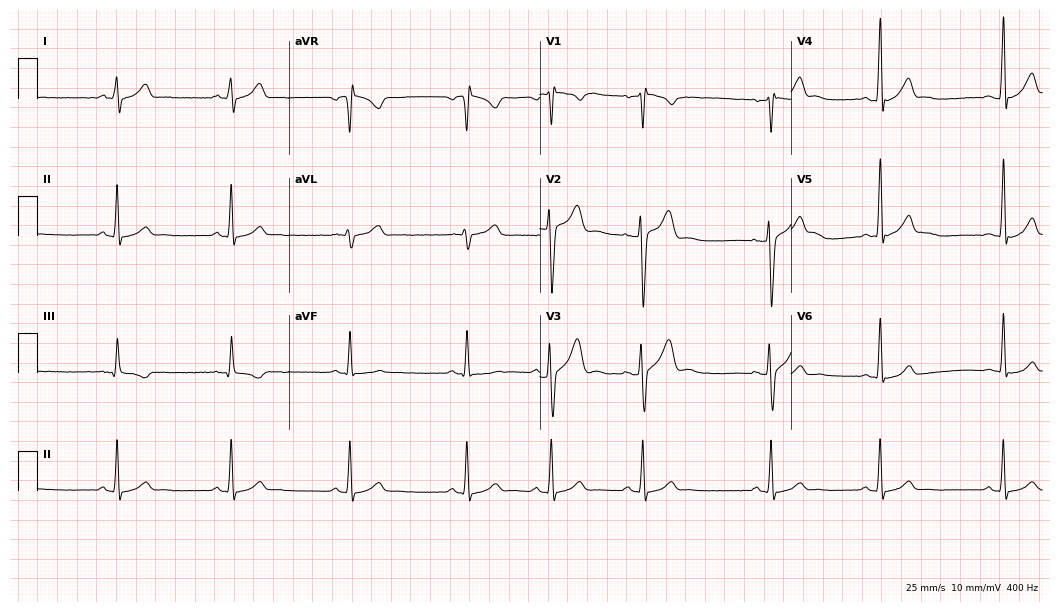
12-lead ECG from a male, 21 years old. No first-degree AV block, right bundle branch block, left bundle branch block, sinus bradycardia, atrial fibrillation or sinus tachycardia recorded for this tracing.